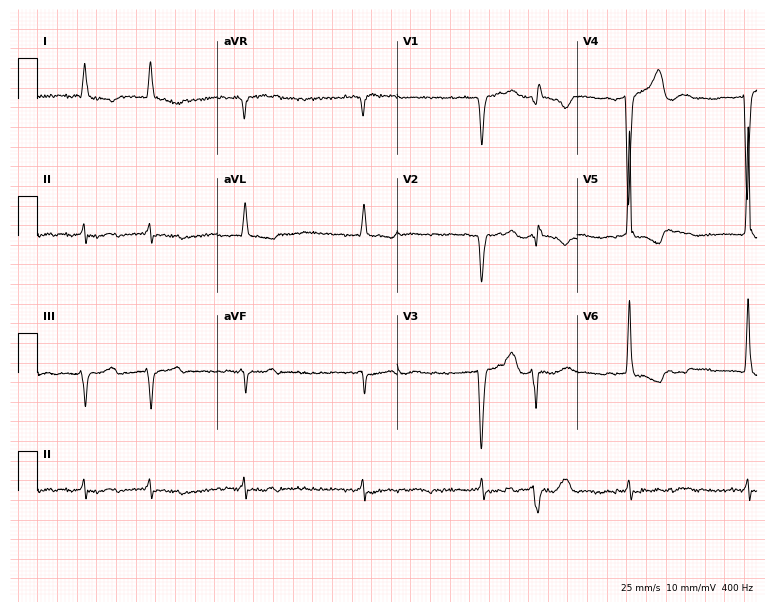
ECG — an 84-year-old male. Screened for six findings — first-degree AV block, right bundle branch block (RBBB), left bundle branch block (LBBB), sinus bradycardia, atrial fibrillation (AF), sinus tachycardia — none is recorded. Other findings, if any, are not listed.